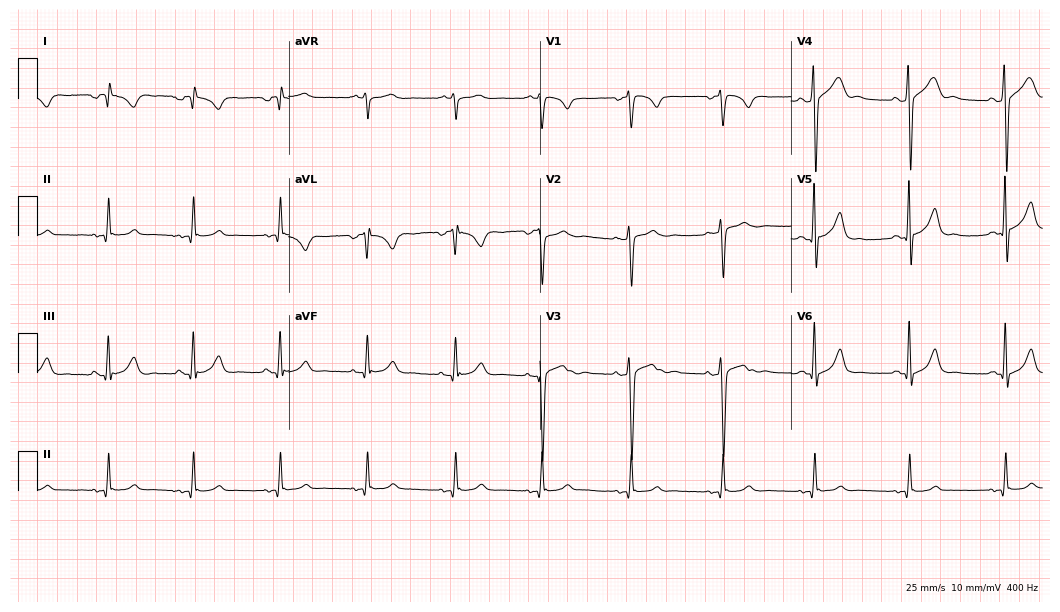
Standard 12-lead ECG recorded from a 32-year-old male patient (10.2-second recording at 400 Hz). None of these six findings is recorded: first-degree AV block, right bundle branch block, left bundle branch block, sinus bradycardia, atrial fibrillation, sinus tachycardia.